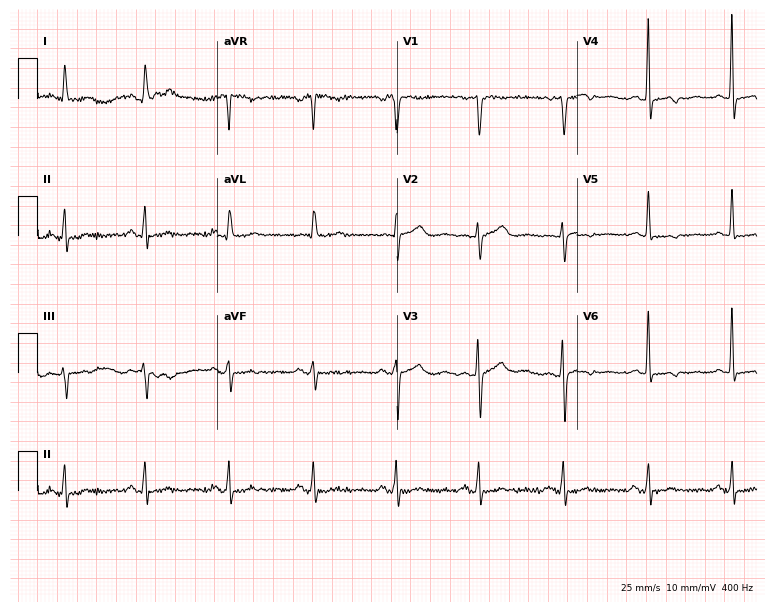
12-lead ECG (7.3-second recording at 400 Hz) from a female, 63 years old. Screened for six findings — first-degree AV block, right bundle branch block, left bundle branch block, sinus bradycardia, atrial fibrillation, sinus tachycardia — none is recorded. Findings outside these six are not listed.